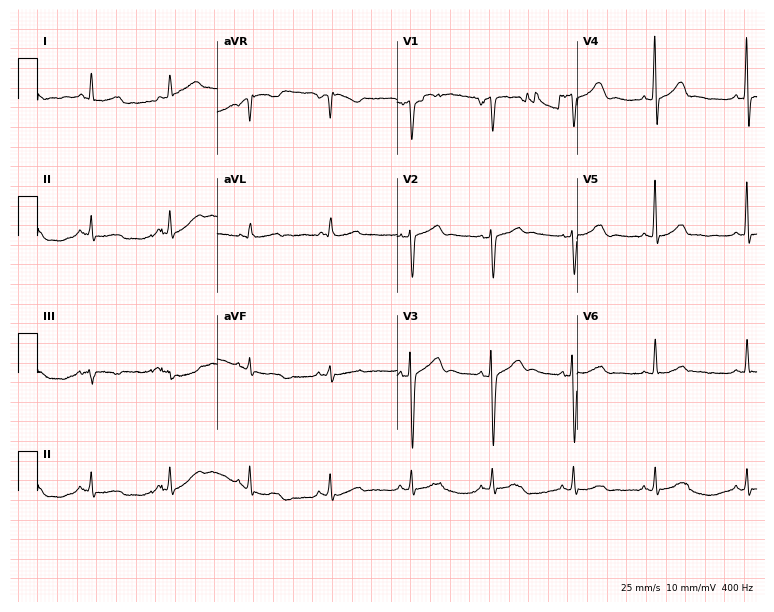
12-lead ECG (7.3-second recording at 400 Hz) from a male, 63 years old. Labelled as a normal ECG.